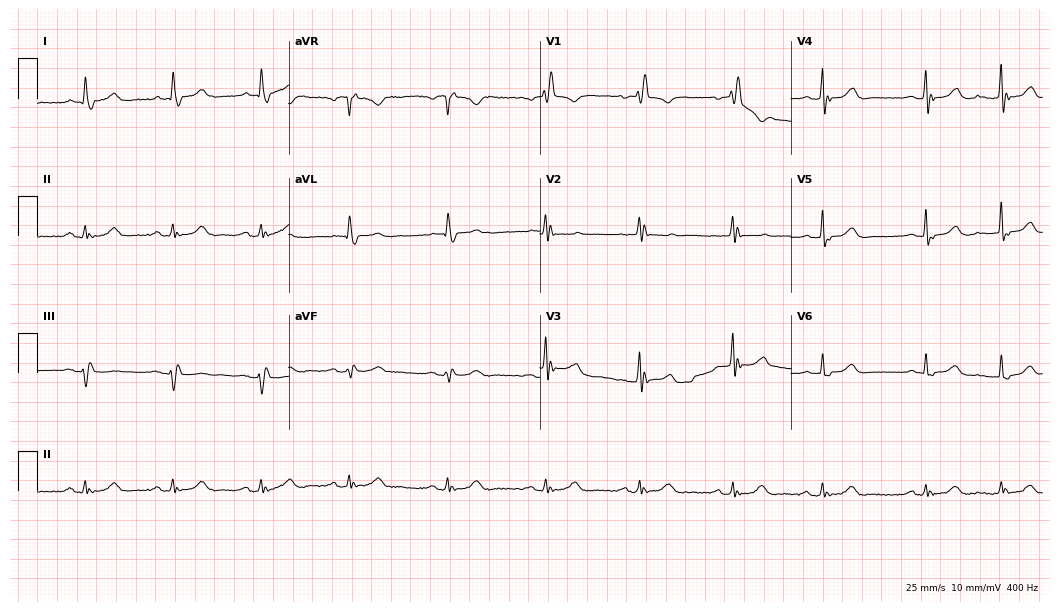
12-lead ECG (10.2-second recording at 400 Hz) from a female, 80 years old. Findings include right bundle branch block.